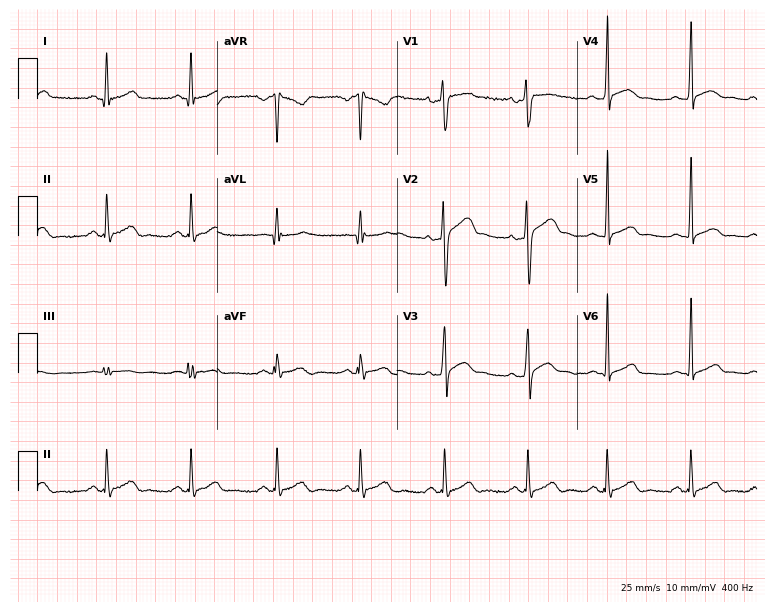
Electrocardiogram, a 25-year-old man. Of the six screened findings (first-degree AV block, right bundle branch block (RBBB), left bundle branch block (LBBB), sinus bradycardia, atrial fibrillation (AF), sinus tachycardia), none is recorded. Findings outside these six are not listed.